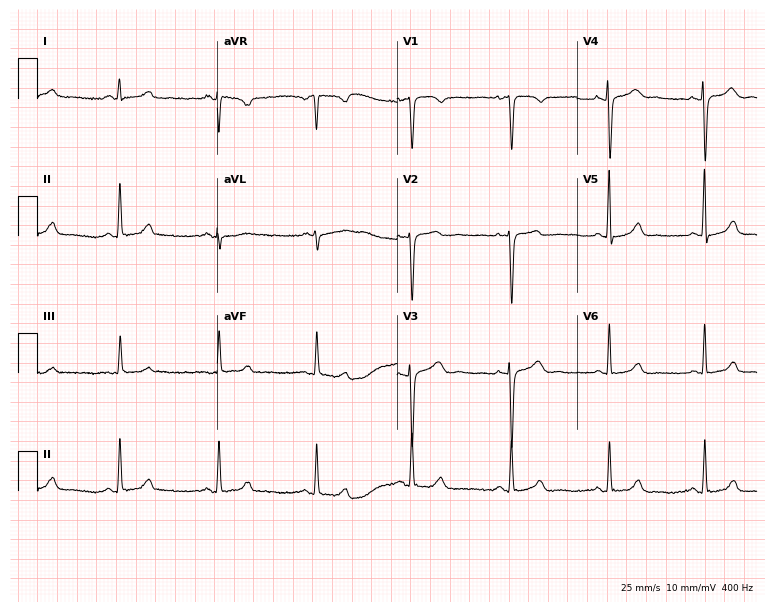
Resting 12-lead electrocardiogram (7.3-second recording at 400 Hz). Patient: a 22-year-old woman. None of these six findings is recorded: first-degree AV block, right bundle branch block, left bundle branch block, sinus bradycardia, atrial fibrillation, sinus tachycardia.